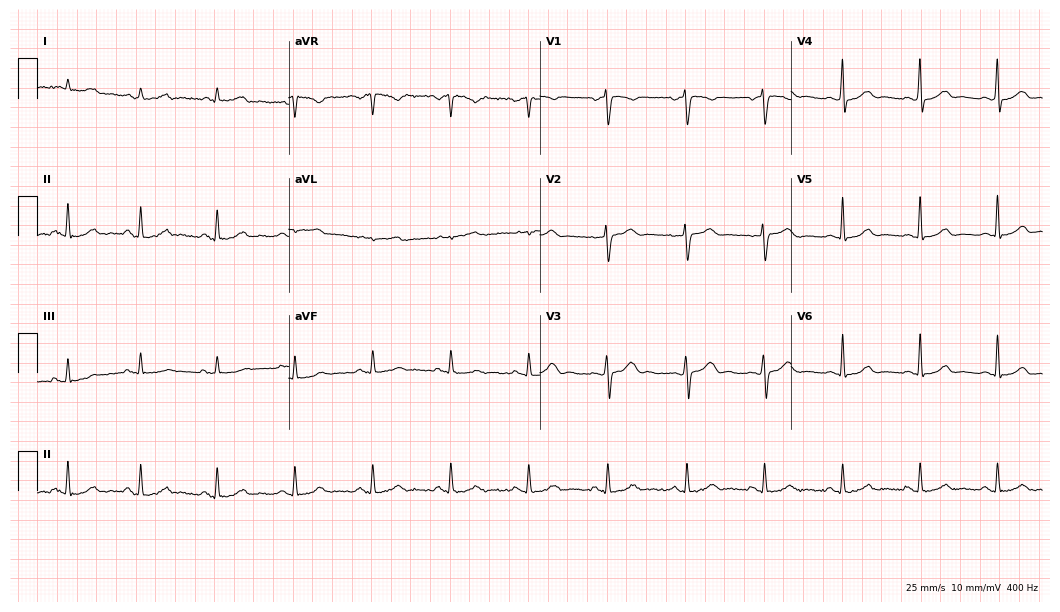
ECG (10.2-second recording at 400 Hz) — a 37-year-old woman. Labelled as a normal ECG.